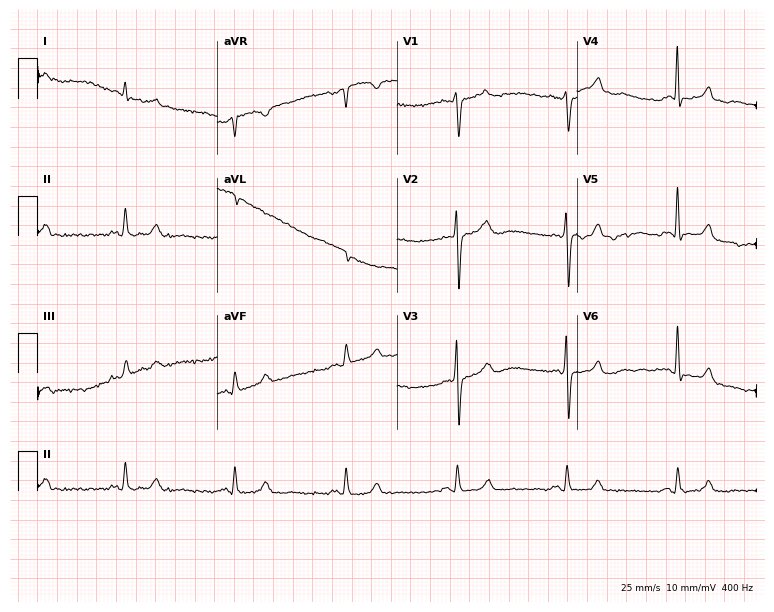
Resting 12-lead electrocardiogram. Patient: a male, 63 years old. None of these six findings is recorded: first-degree AV block, right bundle branch block, left bundle branch block, sinus bradycardia, atrial fibrillation, sinus tachycardia. Other findings, if any, are not listed.